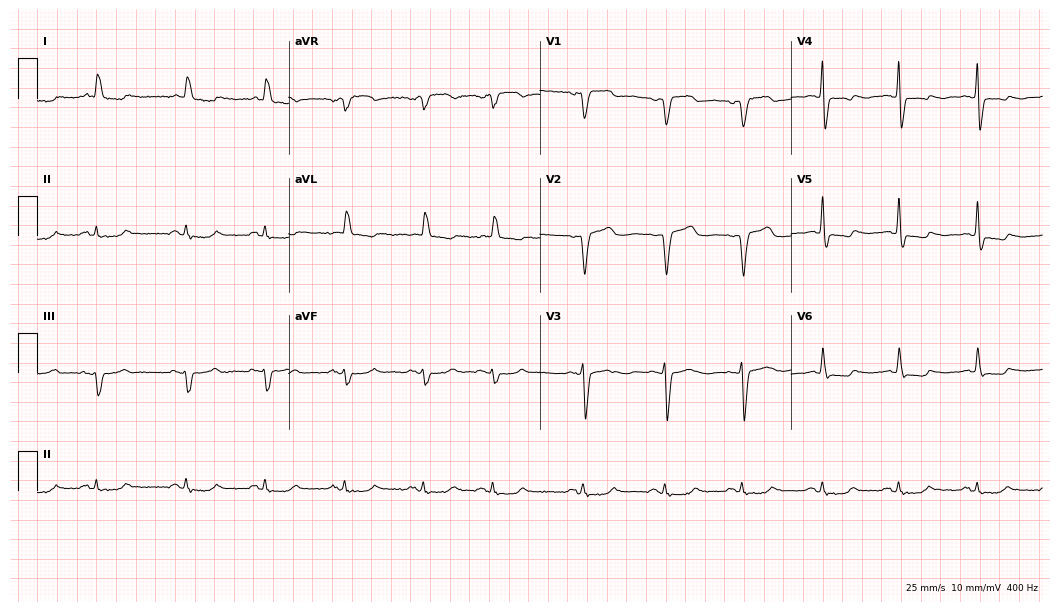
ECG (10.2-second recording at 400 Hz) — a woman, 80 years old. Screened for six findings — first-degree AV block, right bundle branch block, left bundle branch block, sinus bradycardia, atrial fibrillation, sinus tachycardia — none is recorded. Only these six findings were labelled.